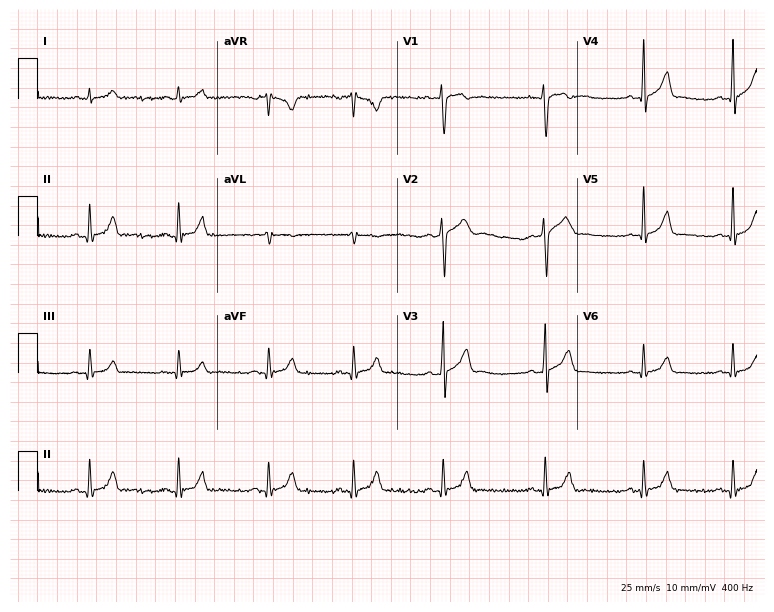
12-lead ECG from a male, 21 years old. Recorded interpretation: within normal limits.